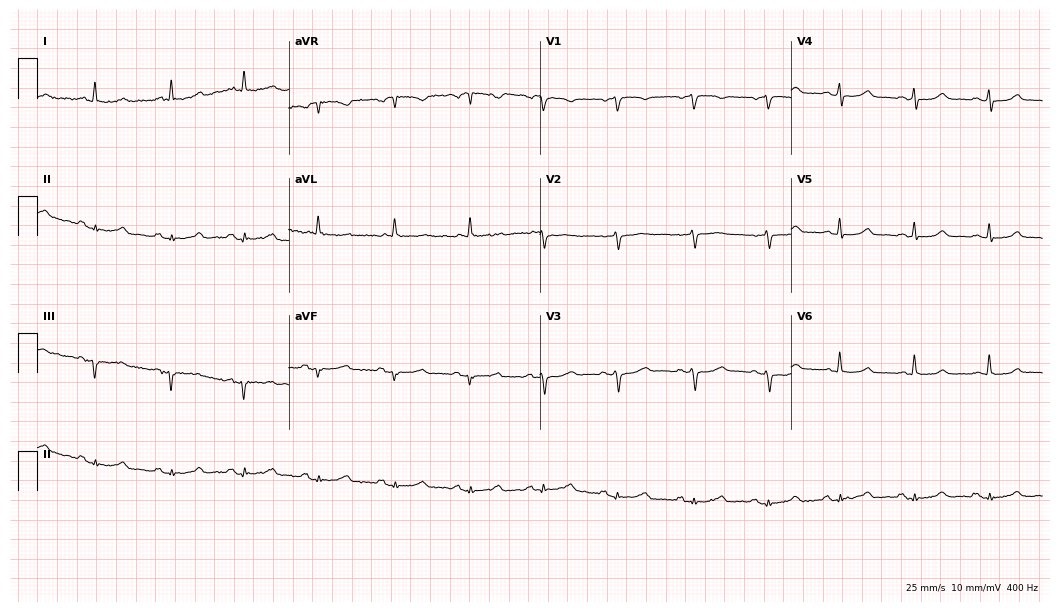
Resting 12-lead electrocardiogram. Patient: a 67-year-old female. Read as a normal ECG.